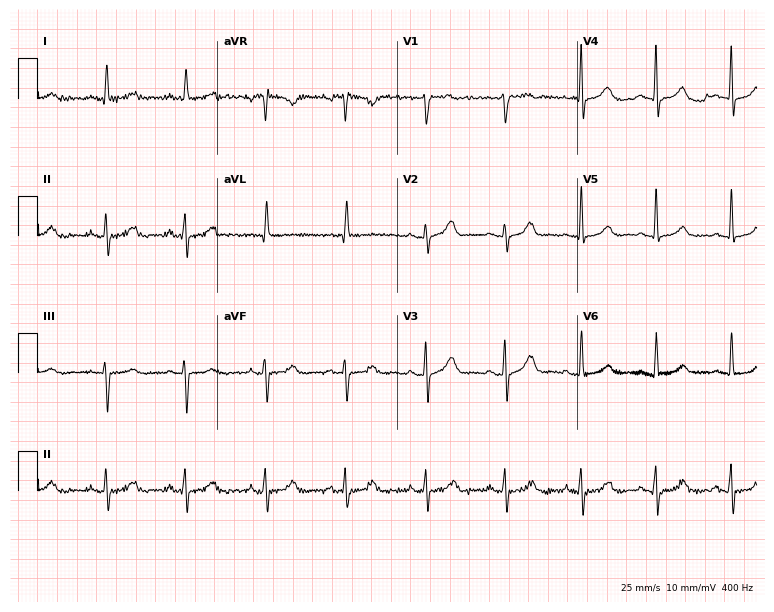
12-lead ECG (7.3-second recording at 400 Hz) from a 50-year-old female. Screened for six findings — first-degree AV block, right bundle branch block, left bundle branch block, sinus bradycardia, atrial fibrillation, sinus tachycardia — none is recorded.